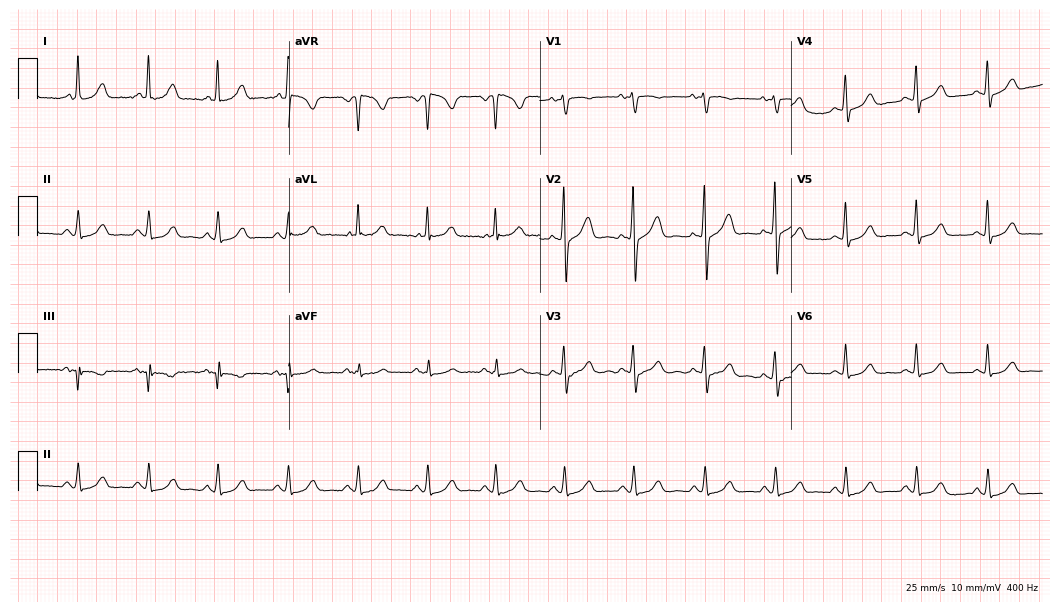
12-lead ECG from a woman, 66 years old (10.2-second recording at 400 Hz). Recorded interpretation: within normal limits.